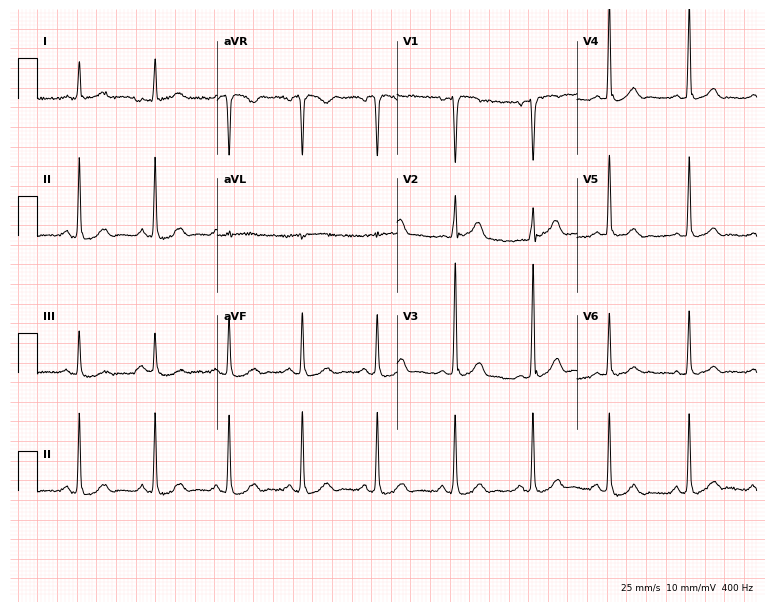
ECG (7.3-second recording at 400 Hz) — a 69-year-old man. Labelled as a normal ECG.